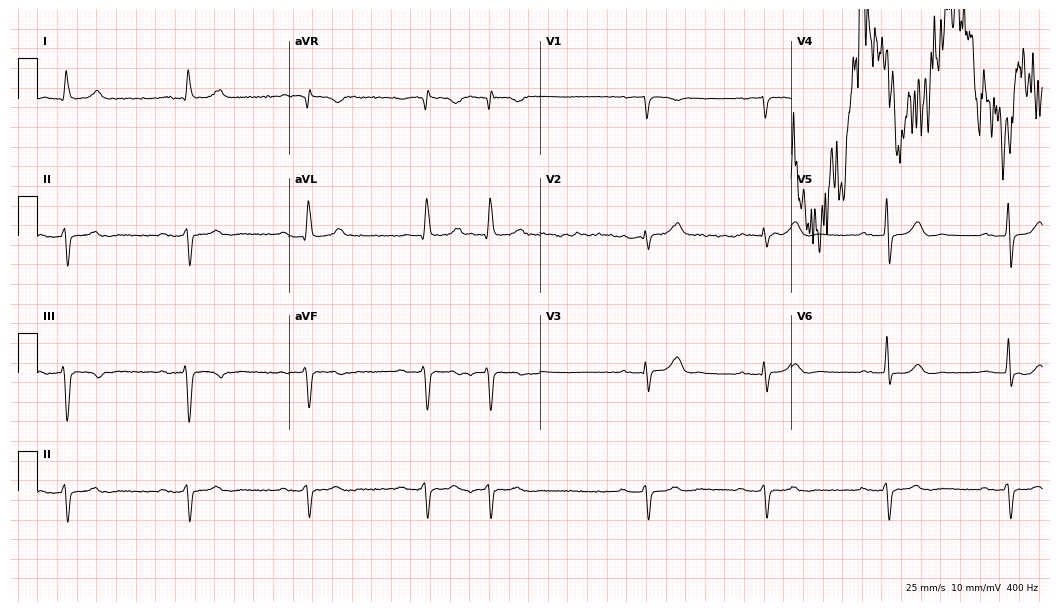
12-lead ECG from an 80-year-old man. Findings include first-degree AV block, atrial fibrillation.